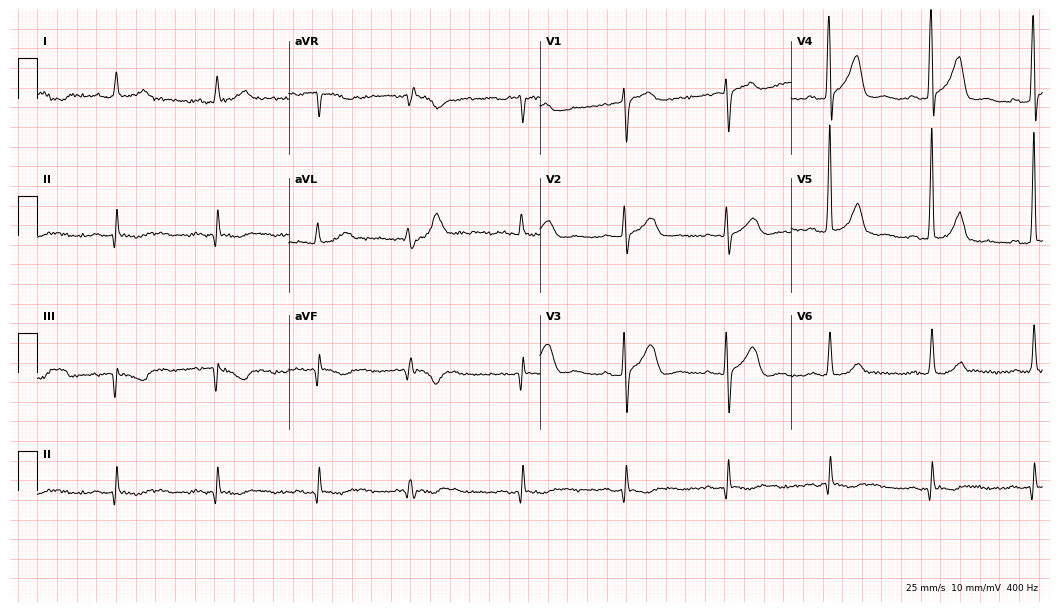
Electrocardiogram, a male, 62 years old. Of the six screened findings (first-degree AV block, right bundle branch block, left bundle branch block, sinus bradycardia, atrial fibrillation, sinus tachycardia), none is recorded.